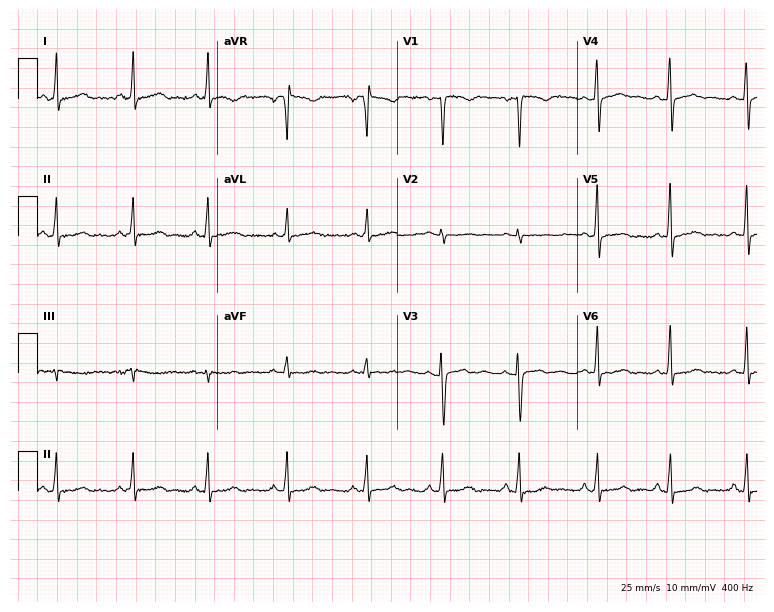
12-lead ECG from a female, 35 years old. Recorded interpretation: within normal limits.